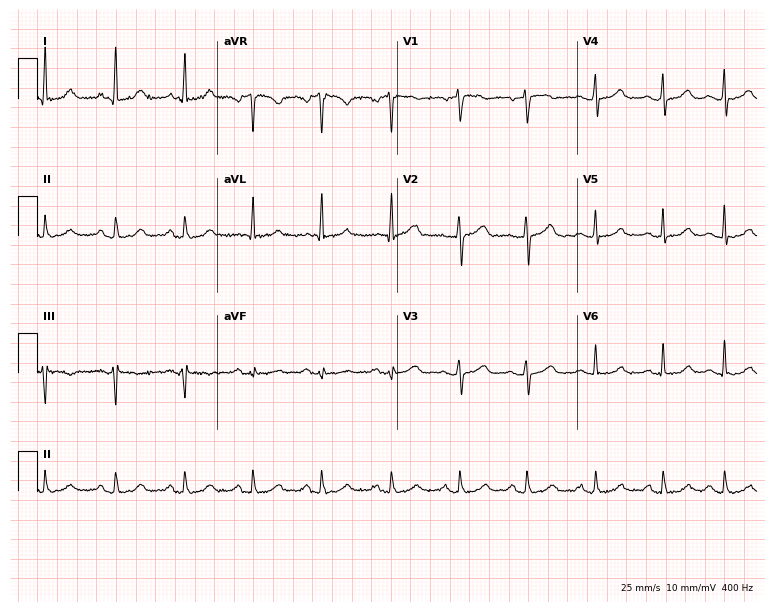
Standard 12-lead ECG recorded from a 54-year-old woman. Read as a normal ECG.